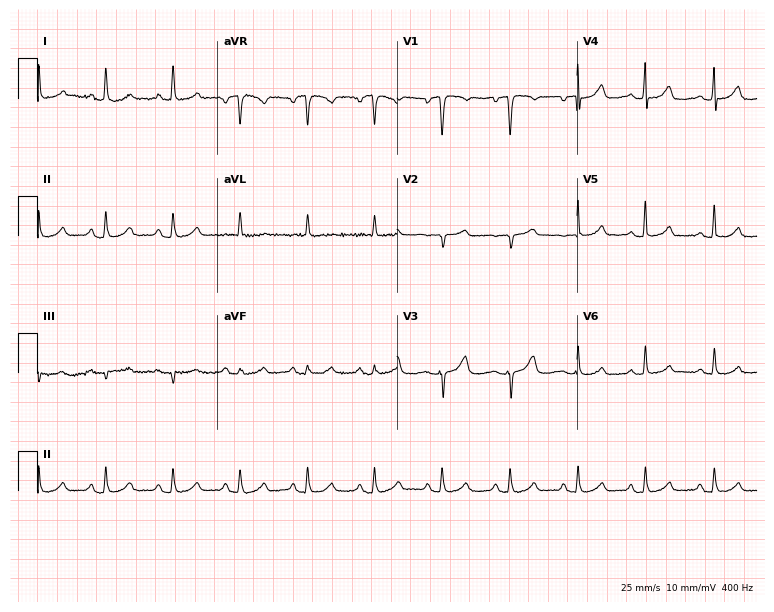
Standard 12-lead ECG recorded from a female patient, 57 years old (7.3-second recording at 400 Hz). None of these six findings is recorded: first-degree AV block, right bundle branch block (RBBB), left bundle branch block (LBBB), sinus bradycardia, atrial fibrillation (AF), sinus tachycardia. Findings outside these six are not listed.